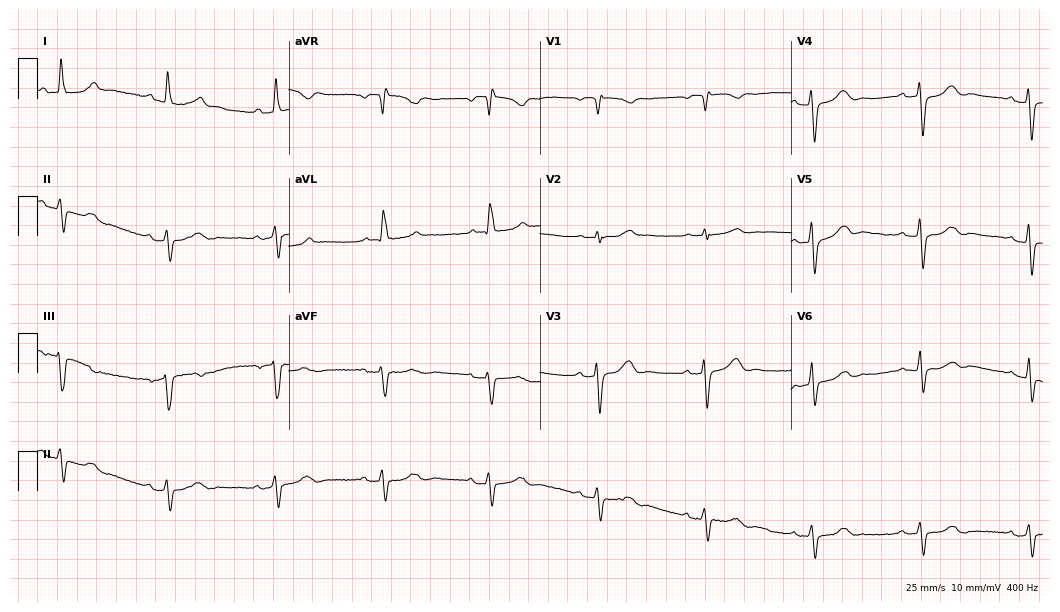
ECG — a 70-year-old woman. Screened for six findings — first-degree AV block, right bundle branch block, left bundle branch block, sinus bradycardia, atrial fibrillation, sinus tachycardia — none is recorded.